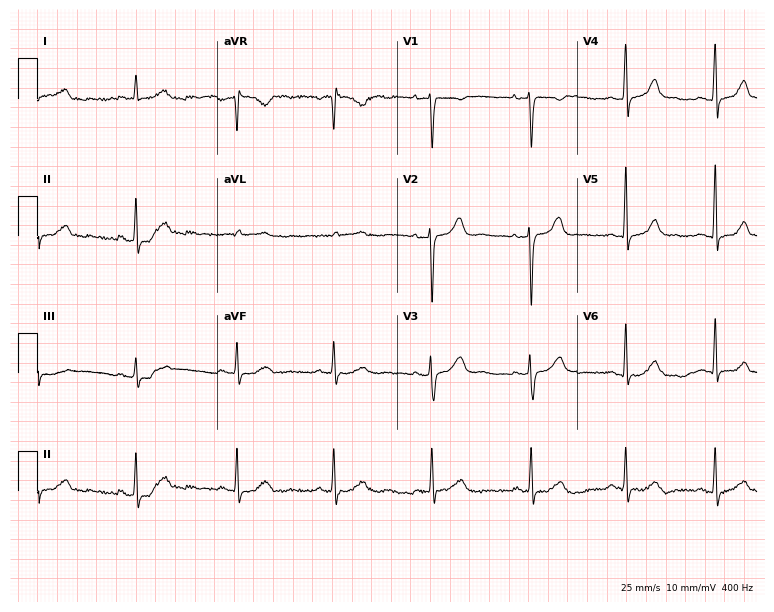
12-lead ECG (7.3-second recording at 400 Hz) from a female patient, 42 years old. Labelled as a normal ECG.